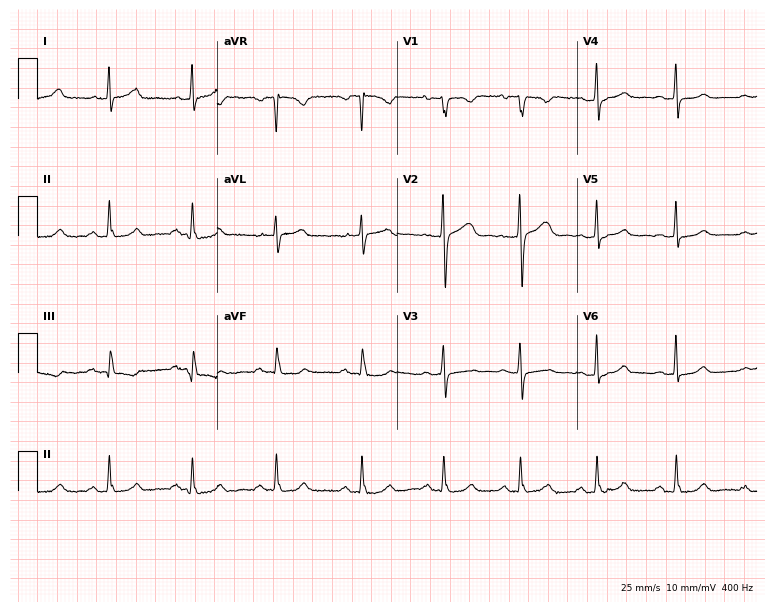
12-lead ECG from a 56-year-old female patient (7.3-second recording at 400 Hz). Recorded interpretation: within normal limits.